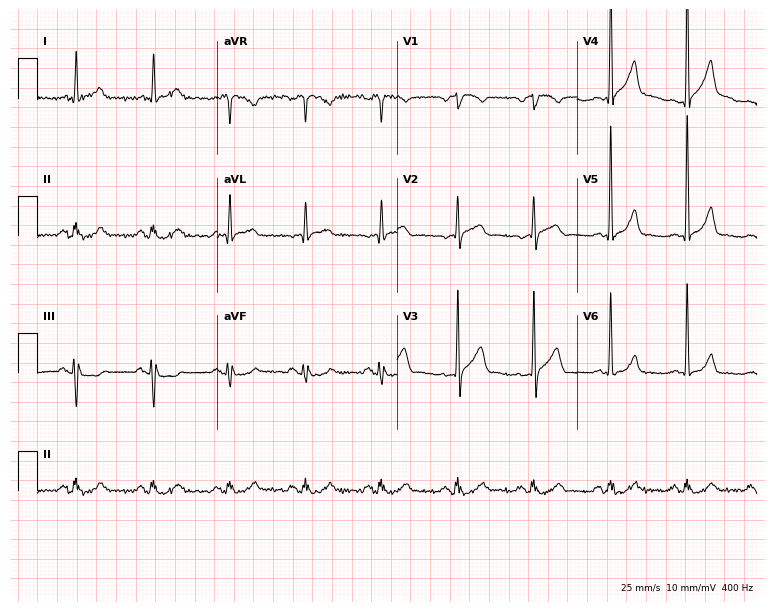
Standard 12-lead ECG recorded from a man, 79 years old. None of these six findings is recorded: first-degree AV block, right bundle branch block (RBBB), left bundle branch block (LBBB), sinus bradycardia, atrial fibrillation (AF), sinus tachycardia. Other findings, if any, are not listed.